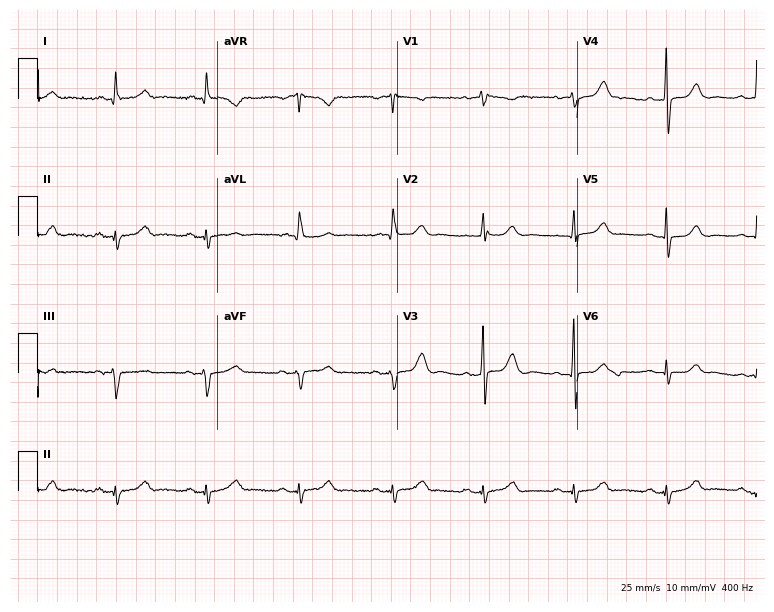
ECG — an 87-year-old female patient. Screened for six findings — first-degree AV block, right bundle branch block, left bundle branch block, sinus bradycardia, atrial fibrillation, sinus tachycardia — none is recorded.